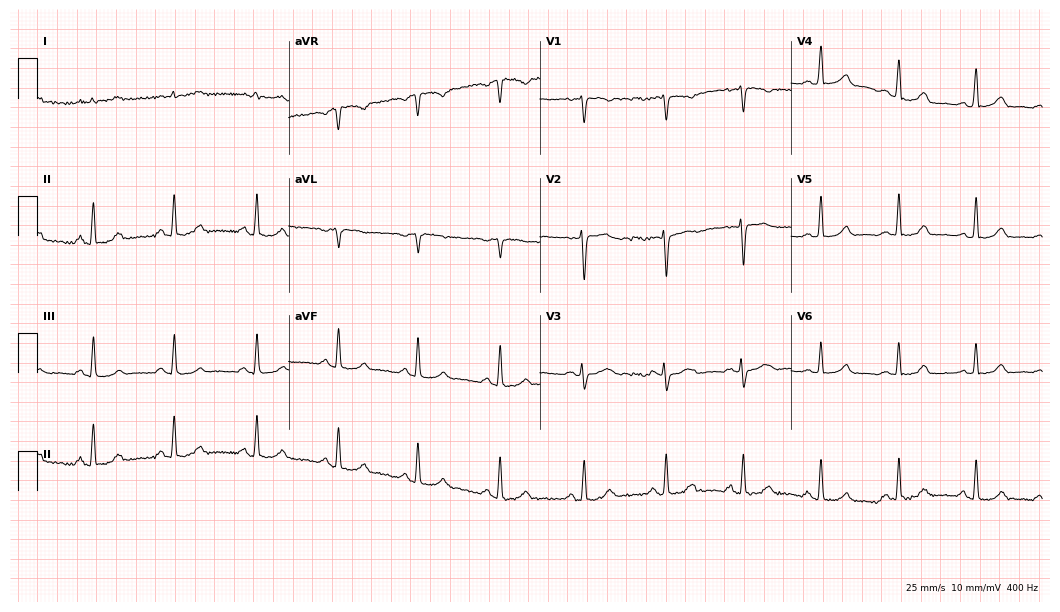
12-lead ECG (10.2-second recording at 400 Hz) from a female, 40 years old. Labelled as a normal ECG.